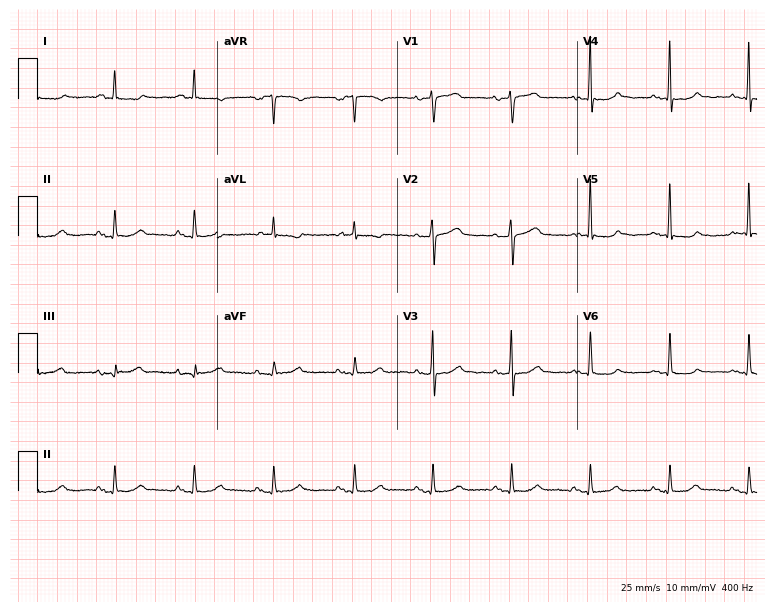
12-lead ECG from a woman, 71 years old. Labelled as a normal ECG.